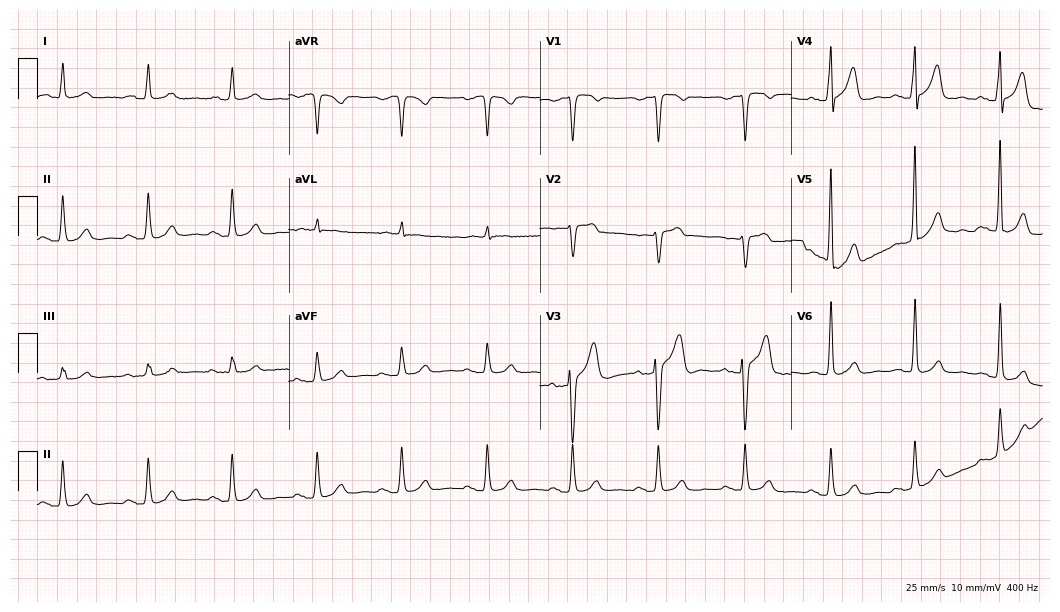
Standard 12-lead ECG recorded from an 81-year-old man (10.2-second recording at 400 Hz). Read as a normal ECG.